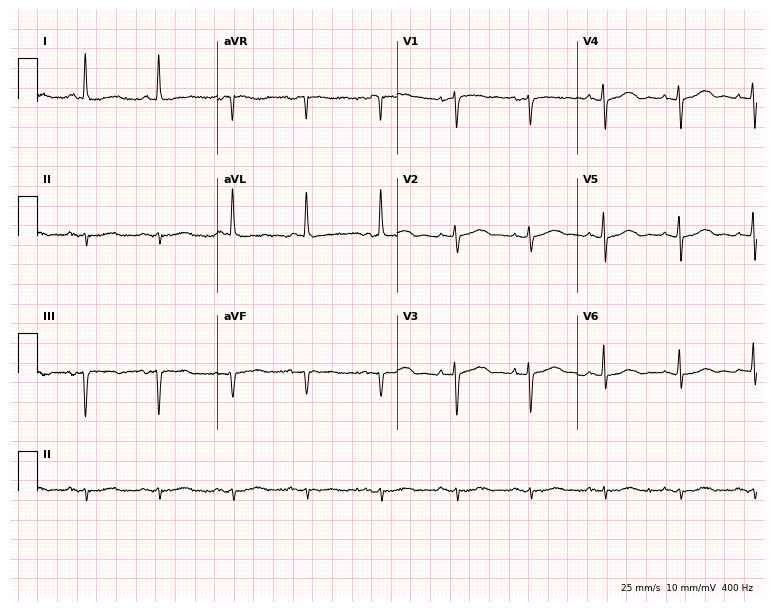
Resting 12-lead electrocardiogram (7.3-second recording at 400 Hz). Patient: an 84-year-old female. None of these six findings is recorded: first-degree AV block, right bundle branch block, left bundle branch block, sinus bradycardia, atrial fibrillation, sinus tachycardia.